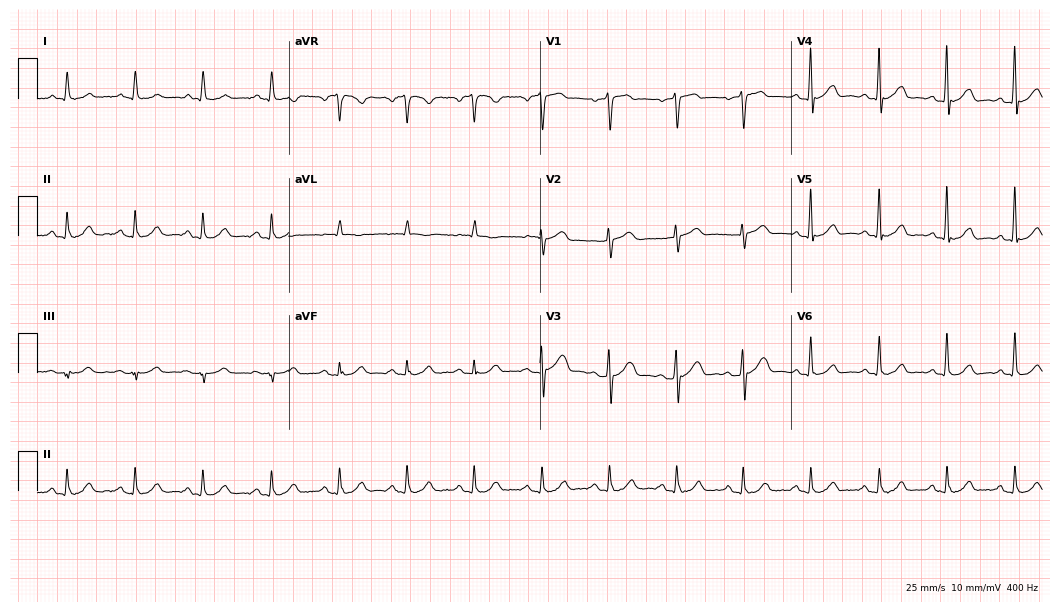
12-lead ECG (10.2-second recording at 400 Hz) from a male patient, 76 years old. Labelled as a normal ECG.